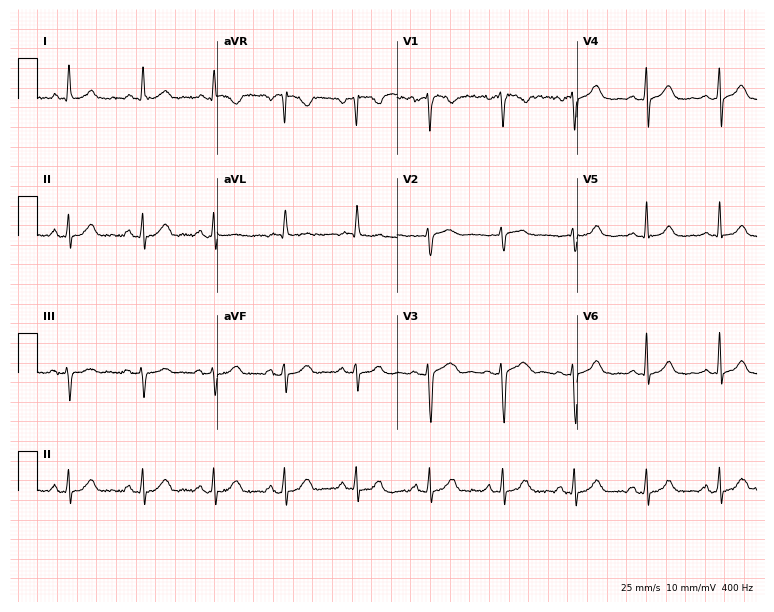
Resting 12-lead electrocardiogram. Patient: a 46-year-old female. Read as a normal ECG.